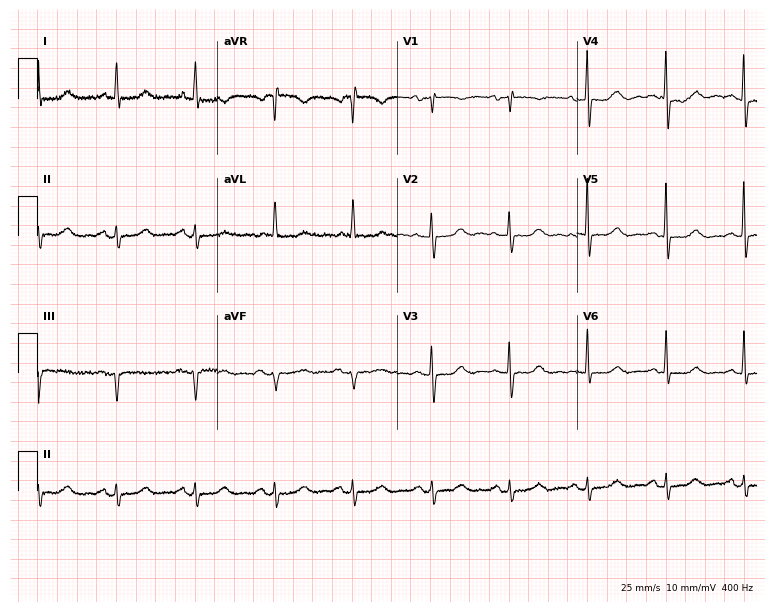
Resting 12-lead electrocardiogram. Patient: a woman, 81 years old. None of these six findings is recorded: first-degree AV block, right bundle branch block, left bundle branch block, sinus bradycardia, atrial fibrillation, sinus tachycardia.